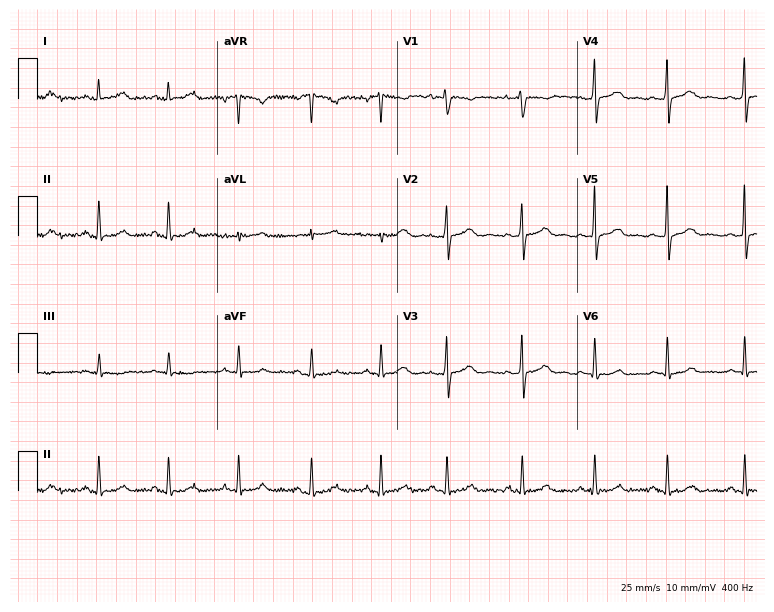
12-lead ECG from a 25-year-old female. Labelled as a normal ECG.